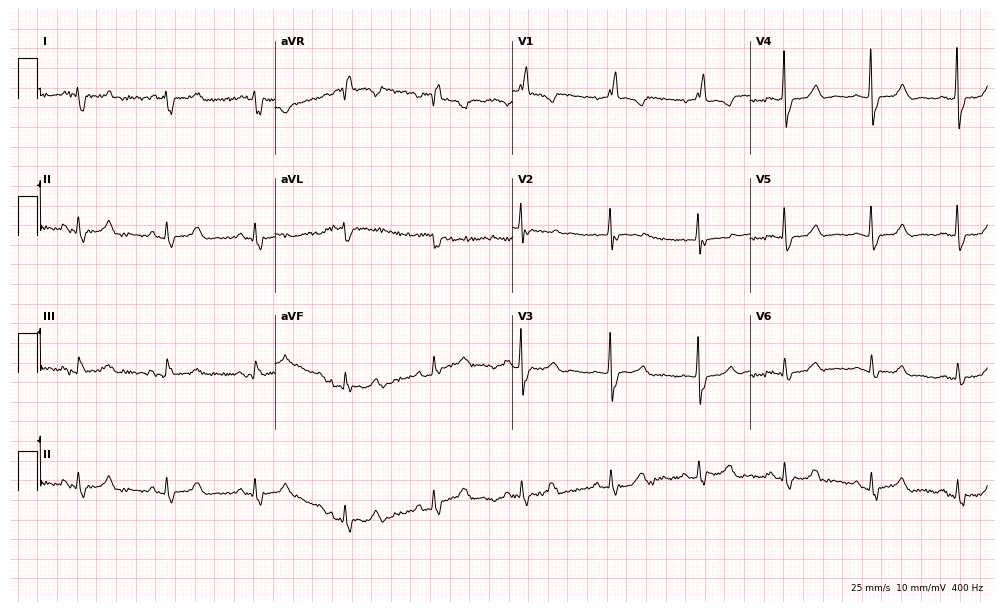
Standard 12-lead ECG recorded from a female patient, 75 years old (9.7-second recording at 400 Hz). The tracing shows right bundle branch block.